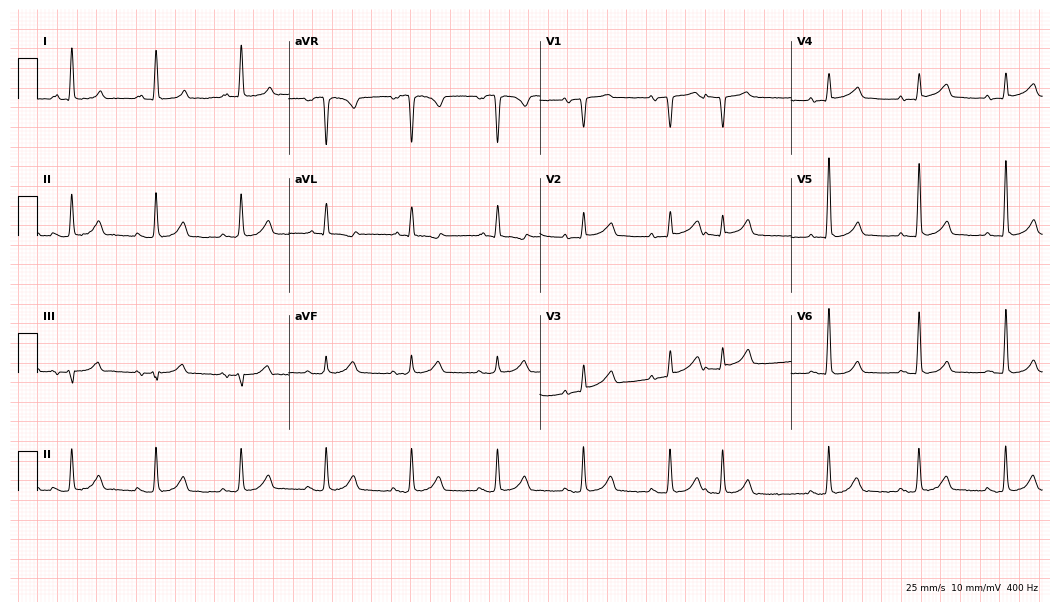
Standard 12-lead ECG recorded from an 84-year-old male patient. None of these six findings is recorded: first-degree AV block, right bundle branch block, left bundle branch block, sinus bradycardia, atrial fibrillation, sinus tachycardia. Only these six findings were labelled.